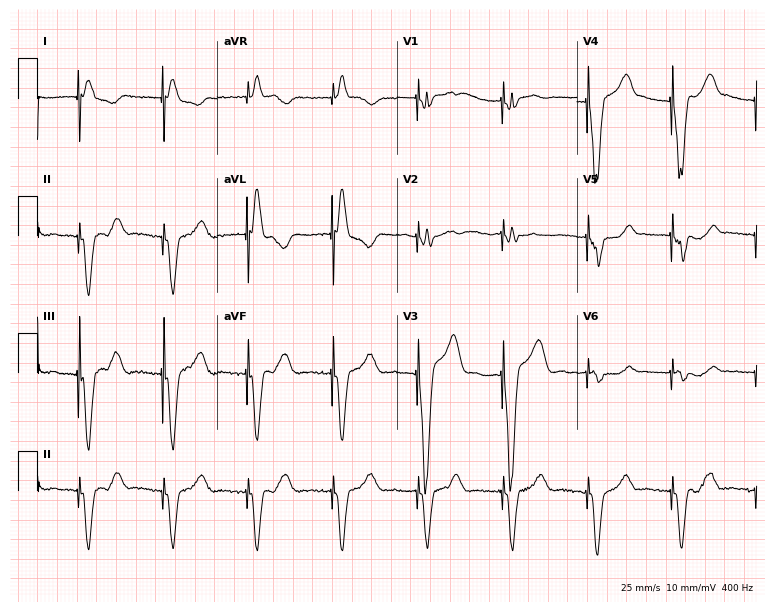
12-lead ECG from a female, 85 years old (7.3-second recording at 400 Hz). No first-degree AV block, right bundle branch block (RBBB), left bundle branch block (LBBB), sinus bradycardia, atrial fibrillation (AF) or sinus tachycardia recorded for this tracing.